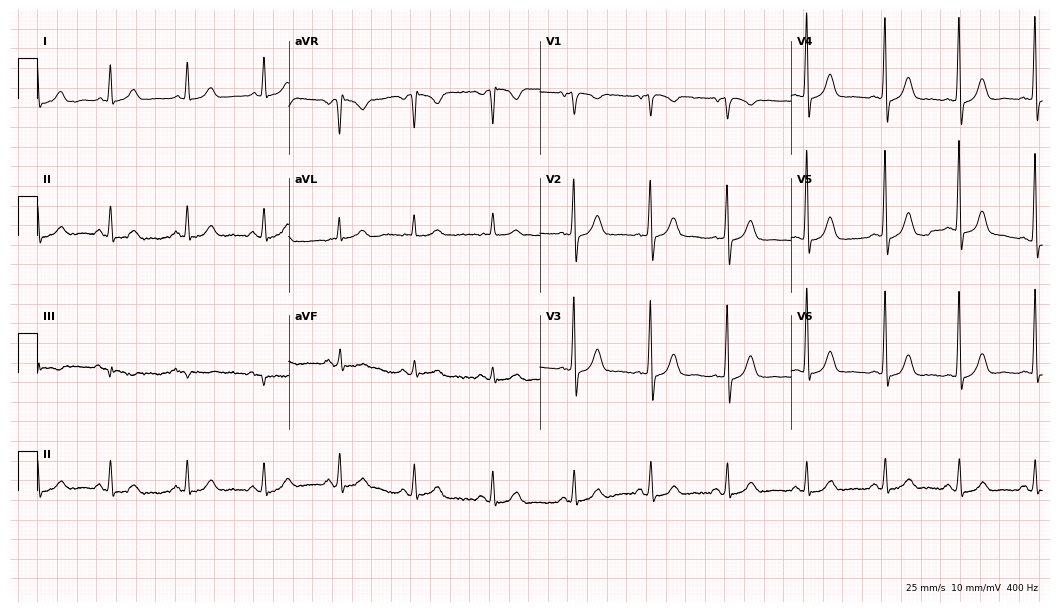
Standard 12-lead ECG recorded from a 72-year-old female. Read as a normal ECG.